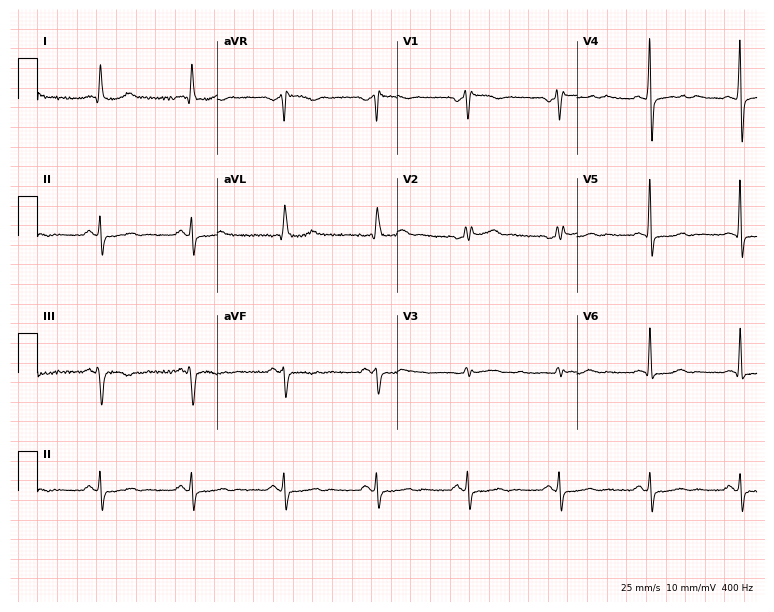
Electrocardiogram, a 62-year-old male. Of the six screened findings (first-degree AV block, right bundle branch block, left bundle branch block, sinus bradycardia, atrial fibrillation, sinus tachycardia), none is recorded.